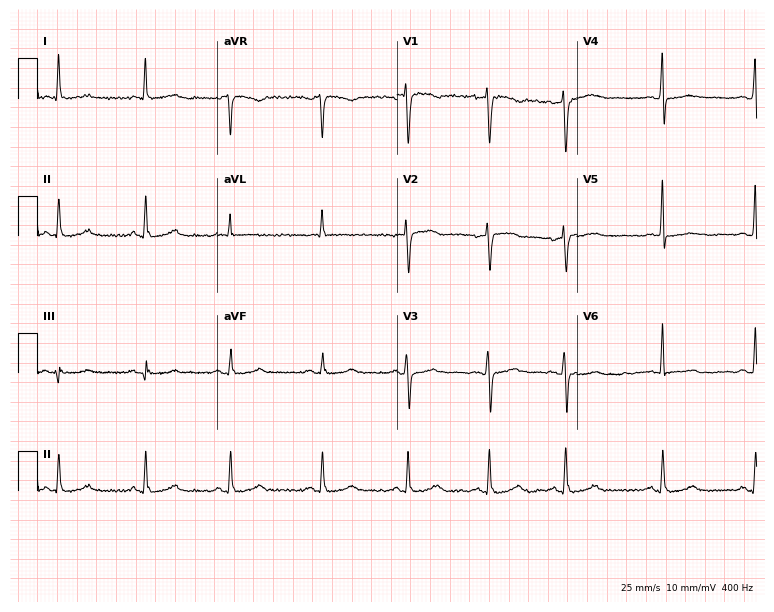
Standard 12-lead ECG recorded from a 27-year-old woman (7.3-second recording at 400 Hz). None of these six findings is recorded: first-degree AV block, right bundle branch block (RBBB), left bundle branch block (LBBB), sinus bradycardia, atrial fibrillation (AF), sinus tachycardia. Findings outside these six are not listed.